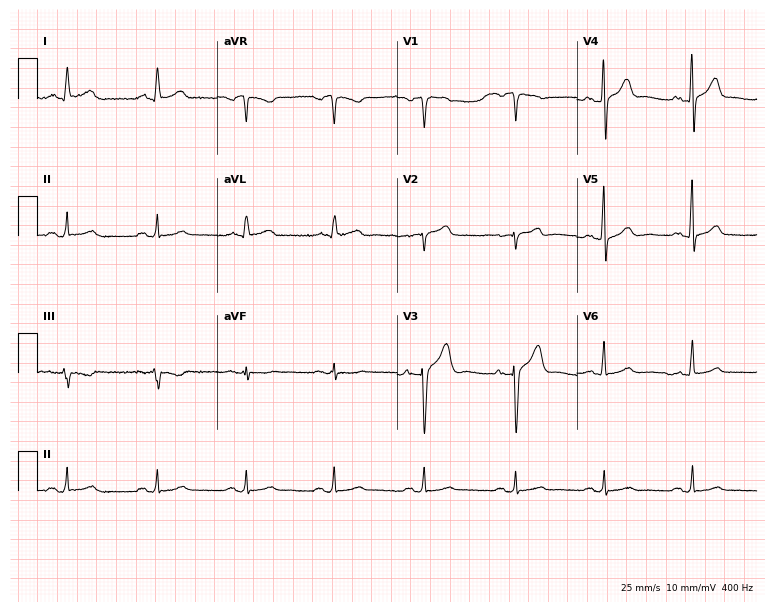
12-lead ECG (7.3-second recording at 400 Hz) from a 65-year-old male patient. Labelled as a normal ECG.